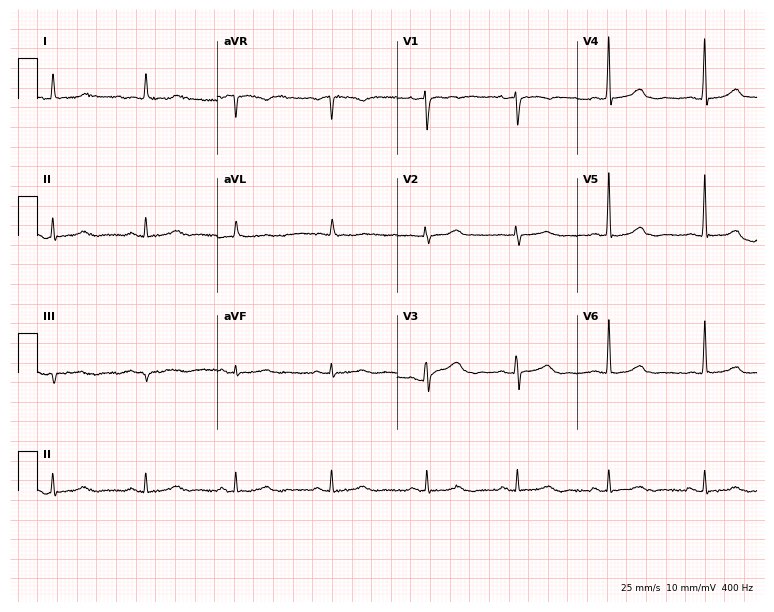
12-lead ECG from a woman, 89 years old. Labelled as a normal ECG.